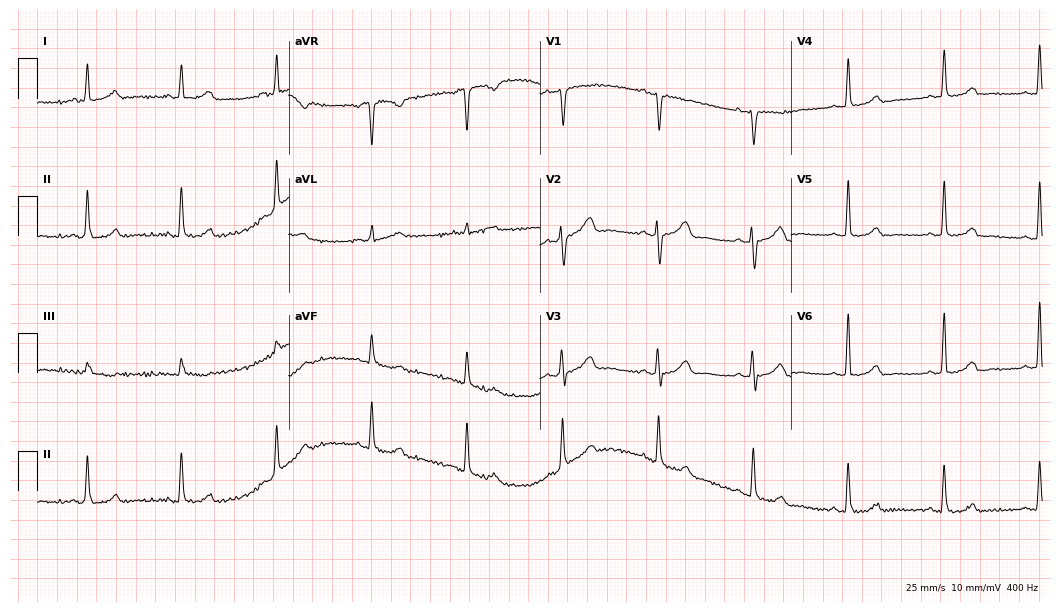
Electrocardiogram (10.2-second recording at 400 Hz), a female patient, 67 years old. Overall reading on record: normal ECG.